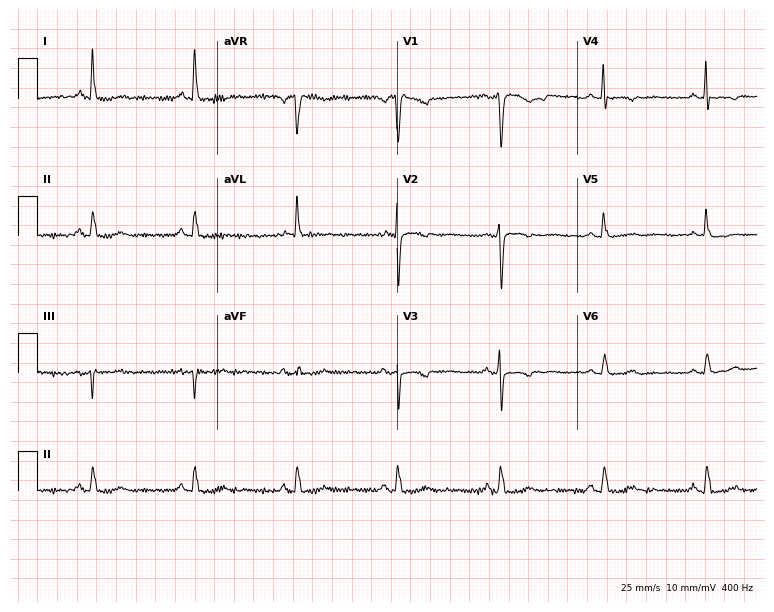
ECG (7.3-second recording at 400 Hz) — a female patient, 62 years old. Screened for six findings — first-degree AV block, right bundle branch block, left bundle branch block, sinus bradycardia, atrial fibrillation, sinus tachycardia — none is recorded.